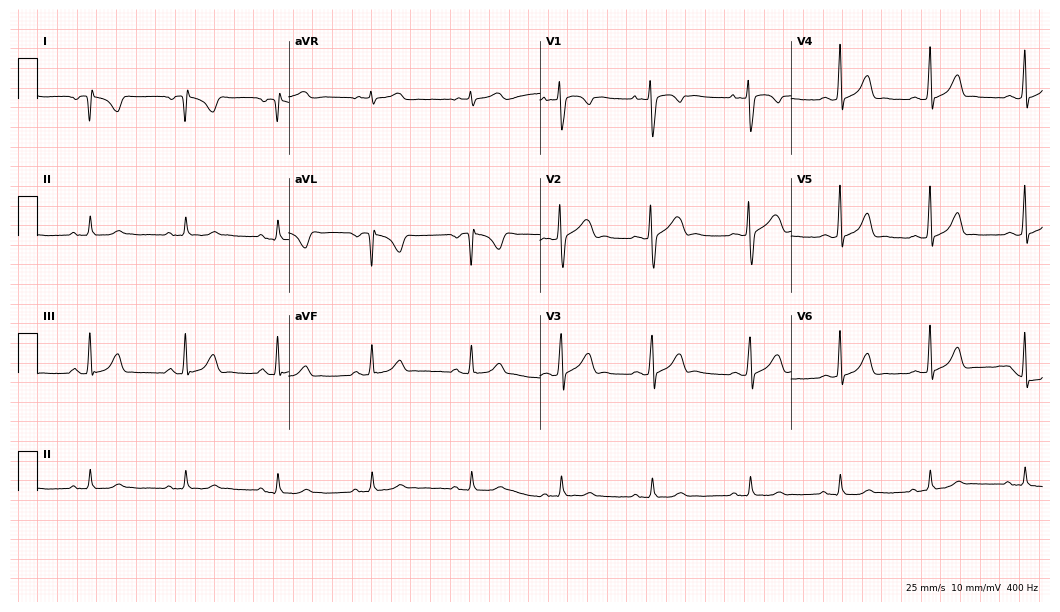
Resting 12-lead electrocardiogram (10.2-second recording at 400 Hz). Patient: a 20-year-old female. None of these six findings is recorded: first-degree AV block, right bundle branch block (RBBB), left bundle branch block (LBBB), sinus bradycardia, atrial fibrillation (AF), sinus tachycardia.